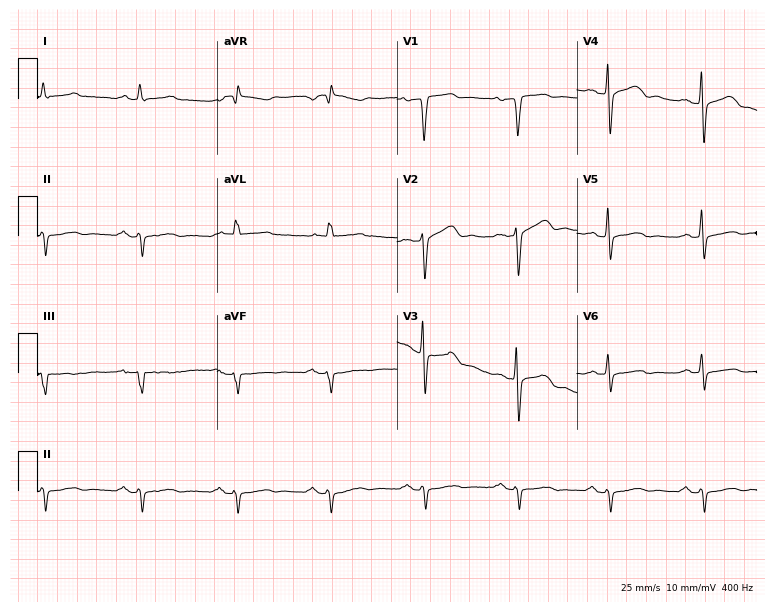
12-lead ECG from a 54-year-old male (7.3-second recording at 400 Hz). No first-degree AV block, right bundle branch block, left bundle branch block, sinus bradycardia, atrial fibrillation or sinus tachycardia recorded for this tracing. Other findings, if any, are not listed.